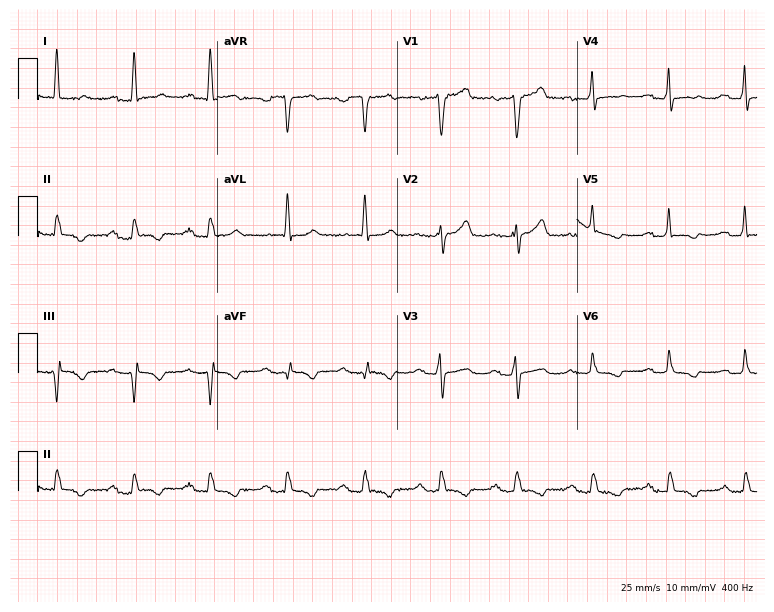
Standard 12-lead ECG recorded from a 64-year-old female patient (7.3-second recording at 400 Hz). The tracing shows first-degree AV block.